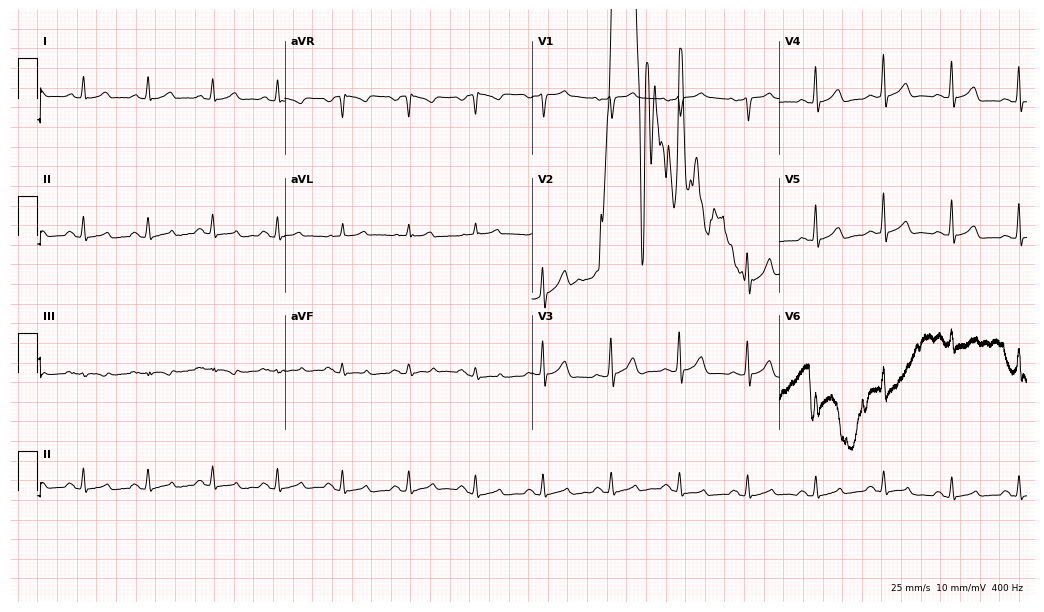
Electrocardiogram (10.1-second recording at 400 Hz), a female patient, 66 years old. Of the six screened findings (first-degree AV block, right bundle branch block (RBBB), left bundle branch block (LBBB), sinus bradycardia, atrial fibrillation (AF), sinus tachycardia), none is recorded.